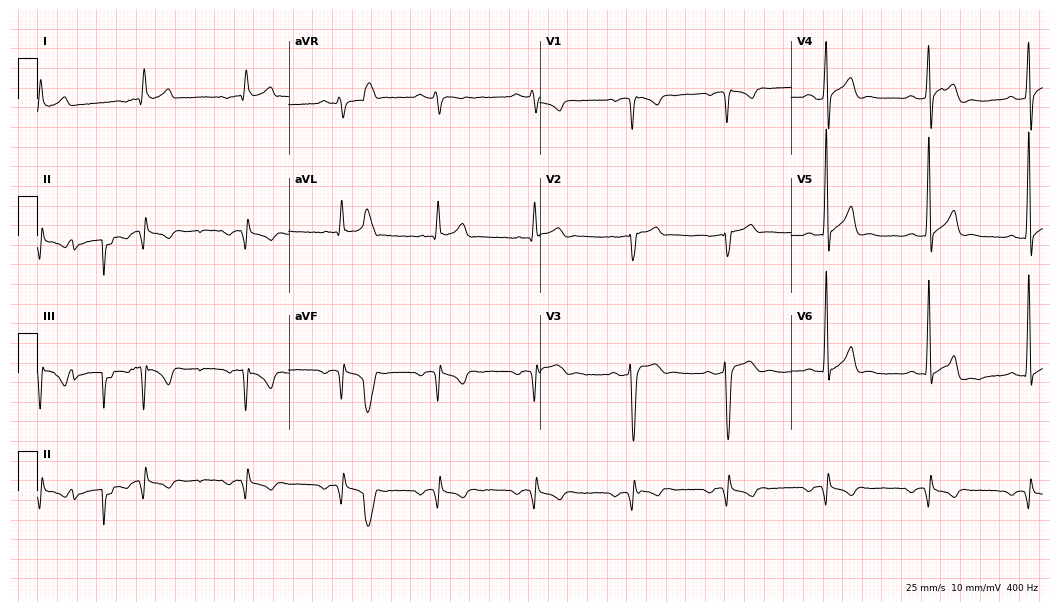
12-lead ECG from a 41-year-old man. Recorded interpretation: within normal limits.